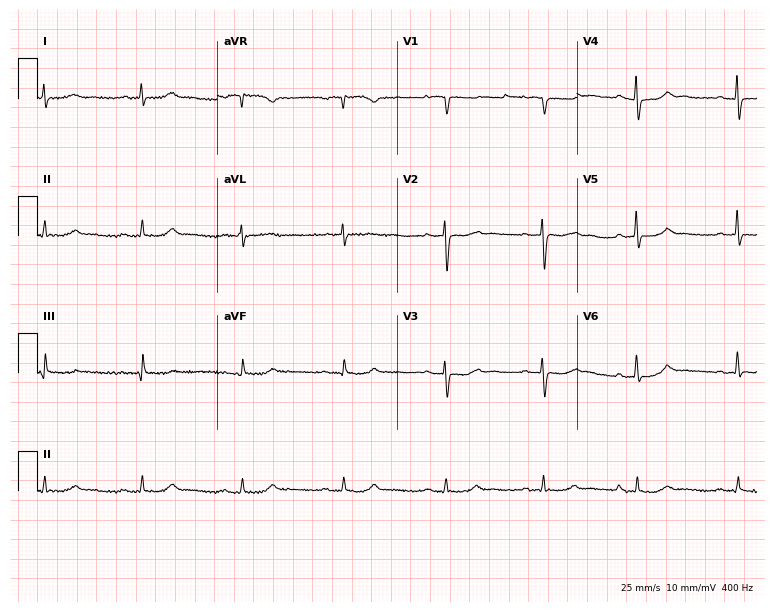
12-lead ECG from a 74-year-old female (7.3-second recording at 400 Hz). No first-degree AV block, right bundle branch block (RBBB), left bundle branch block (LBBB), sinus bradycardia, atrial fibrillation (AF) or sinus tachycardia recorded for this tracing.